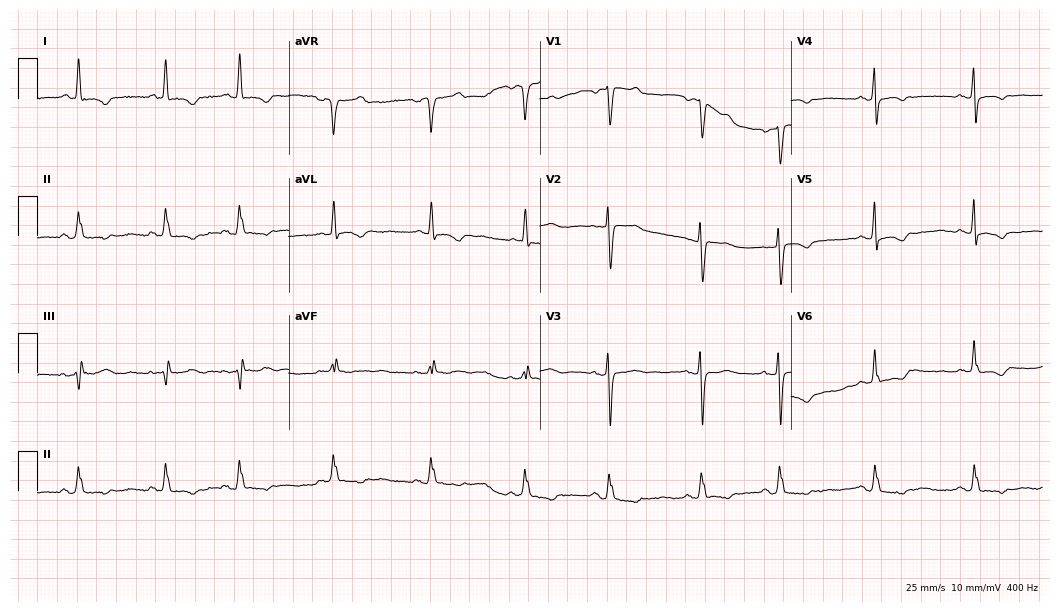
12-lead ECG from a 73-year-old woman (10.2-second recording at 400 Hz). No first-degree AV block, right bundle branch block, left bundle branch block, sinus bradycardia, atrial fibrillation or sinus tachycardia recorded for this tracing.